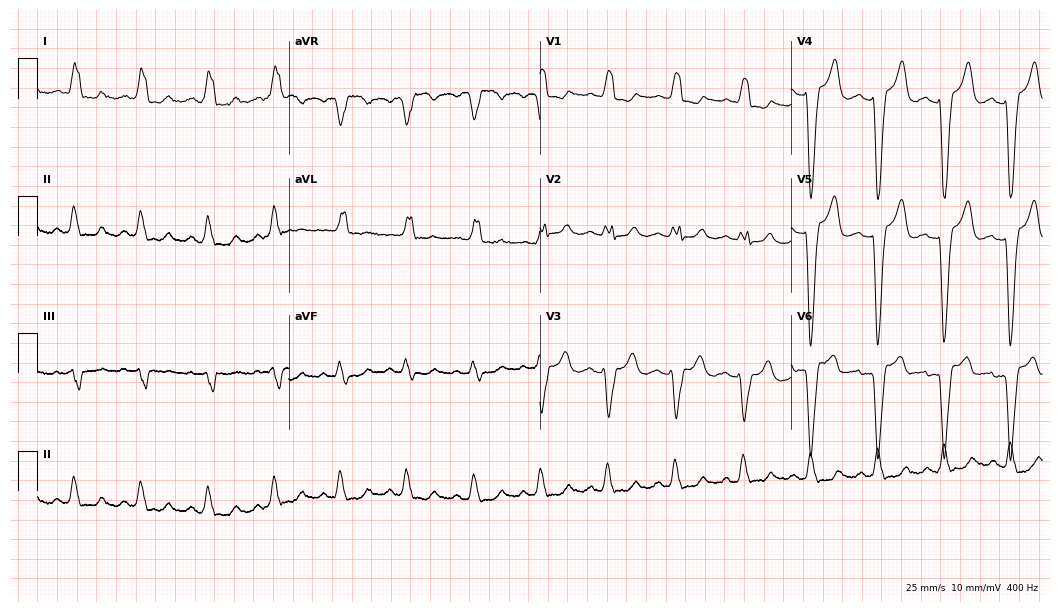
Standard 12-lead ECG recorded from a female patient, 49 years old (10.2-second recording at 400 Hz). None of these six findings is recorded: first-degree AV block, right bundle branch block, left bundle branch block, sinus bradycardia, atrial fibrillation, sinus tachycardia.